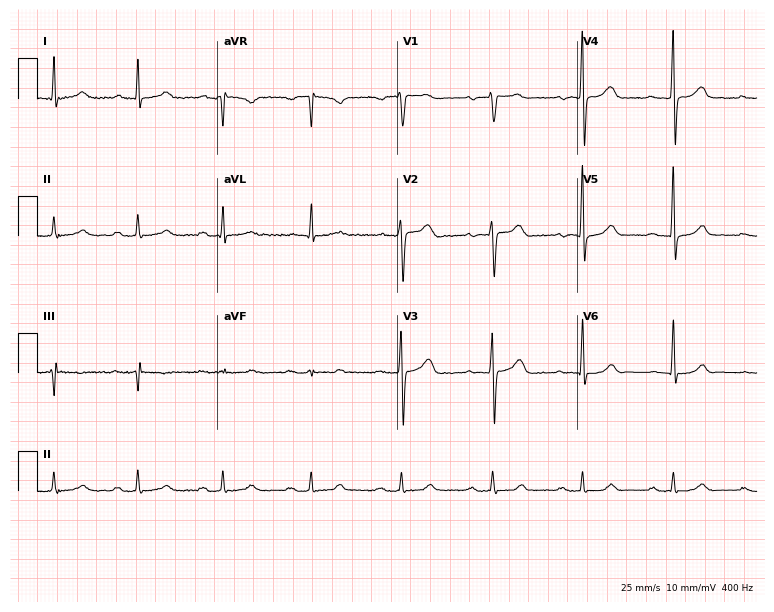
Electrocardiogram, a 57-year-old male patient. Overall reading on record: normal ECG.